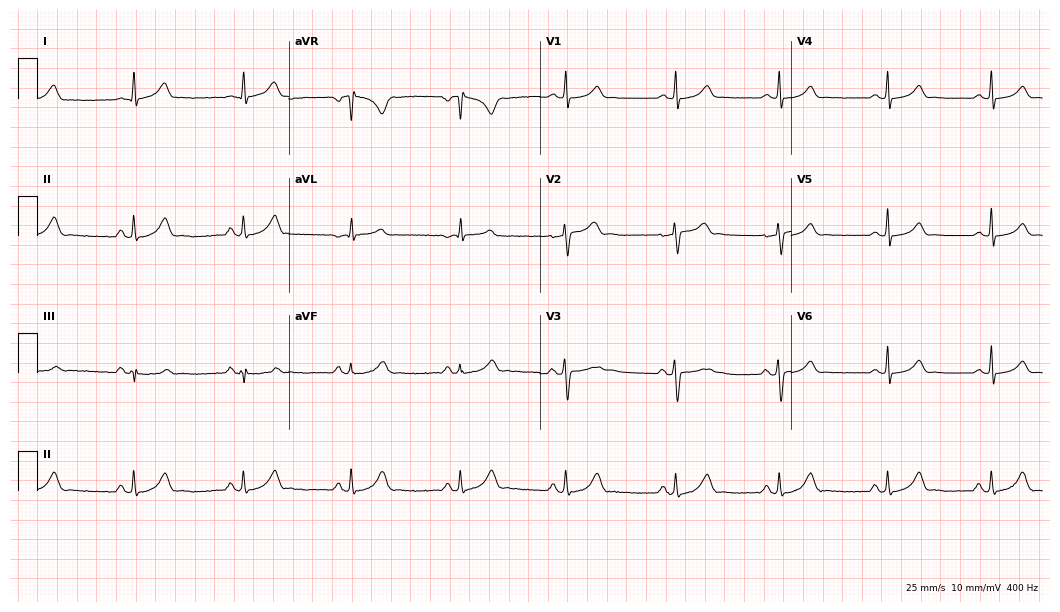
ECG (10.2-second recording at 400 Hz) — a male patient, 30 years old. Labelled as a normal ECG.